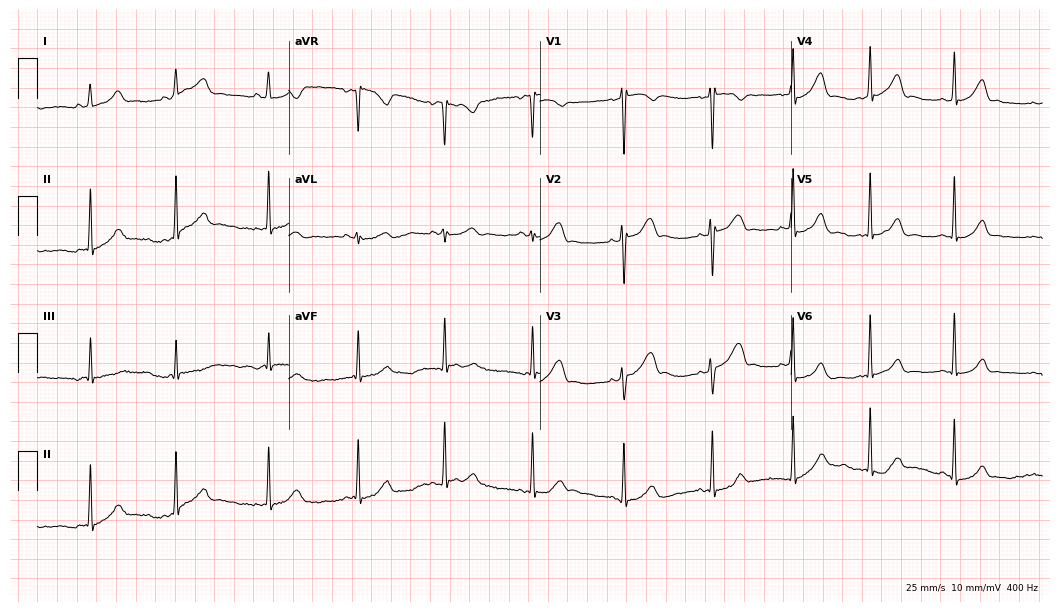
12-lead ECG from a female, 22 years old. Recorded interpretation: within normal limits.